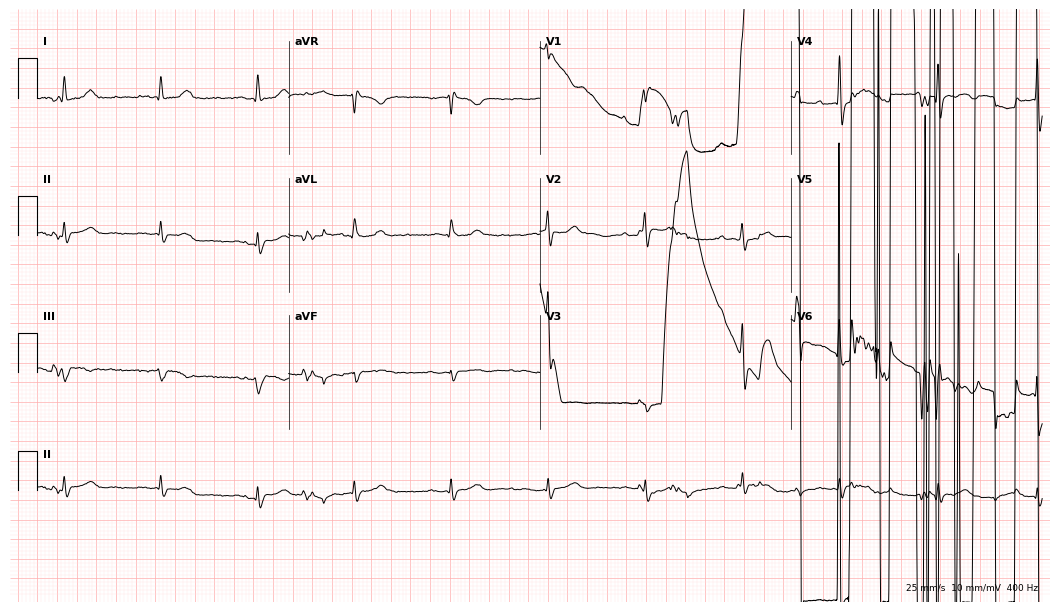
Electrocardiogram, an 82-year-old female patient. Of the six screened findings (first-degree AV block, right bundle branch block (RBBB), left bundle branch block (LBBB), sinus bradycardia, atrial fibrillation (AF), sinus tachycardia), none is recorded. Other findings, if any, are not listed.